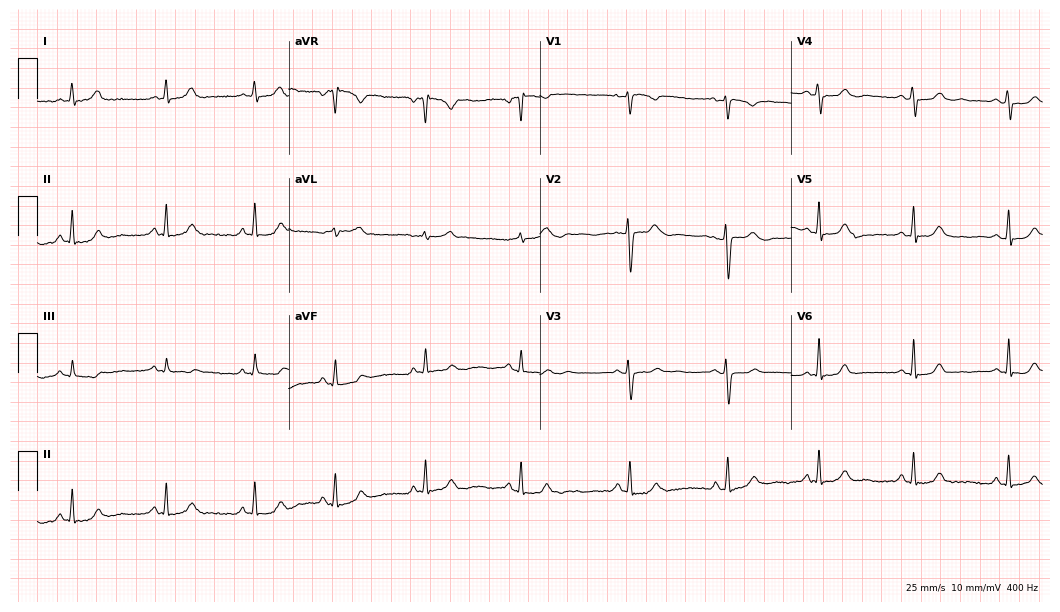
Resting 12-lead electrocardiogram (10.2-second recording at 400 Hz). Patient: a 43-year-old female. Read as a normal ECG.